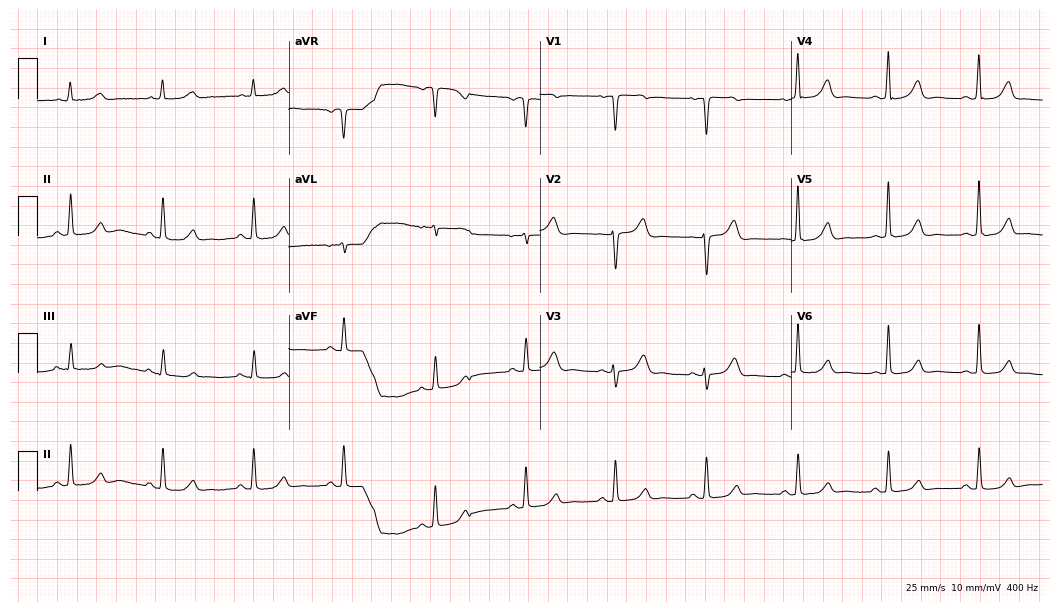
Standard 12-lead ECG recorded from a woman, 56 years old. Read as a normal ECG.